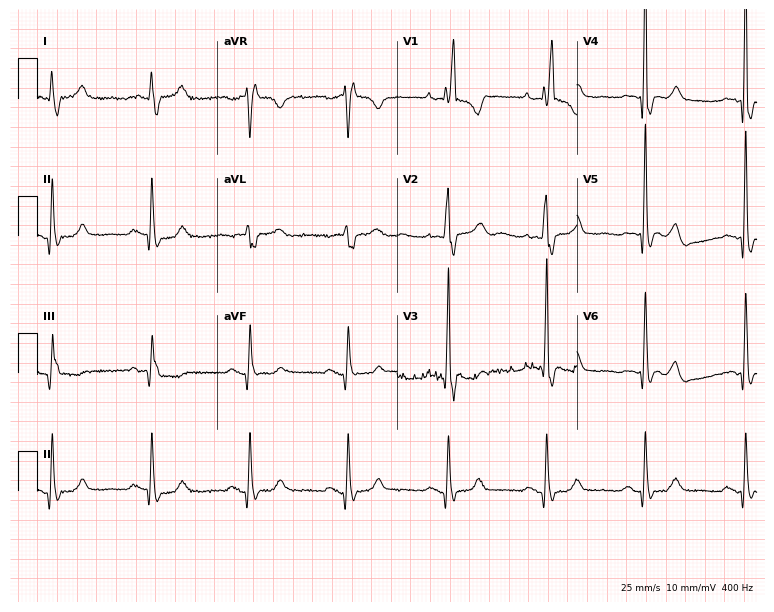
12-lead ECG from a female, 73 years old (7.3-second recording at 400 Hz). Shows right bundle branch block.